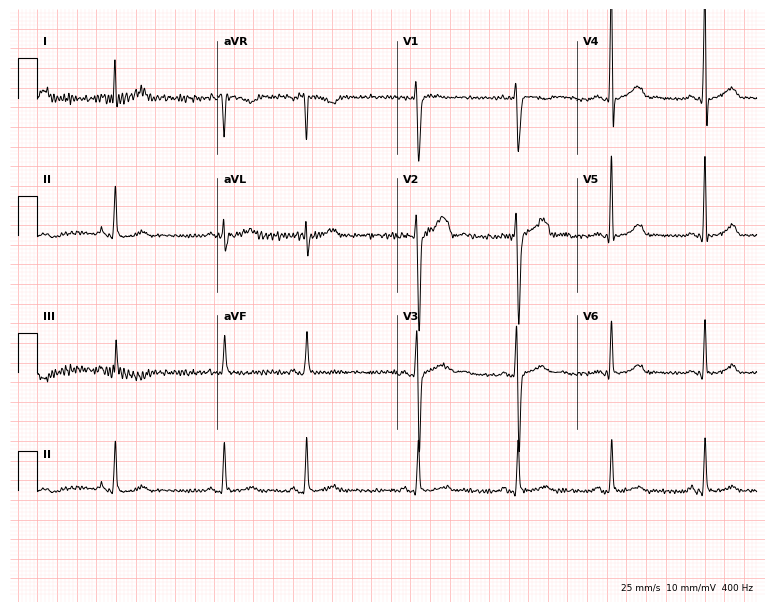
12-lead ECG from a male patient, 22 years old (7.3-second recording at 400 Hz). No first-degree AV block, right bundle branch block, left bundle branch block, sinus bradycardia, atrial fibrillation or sinus tachycardia recorded for this tracing.